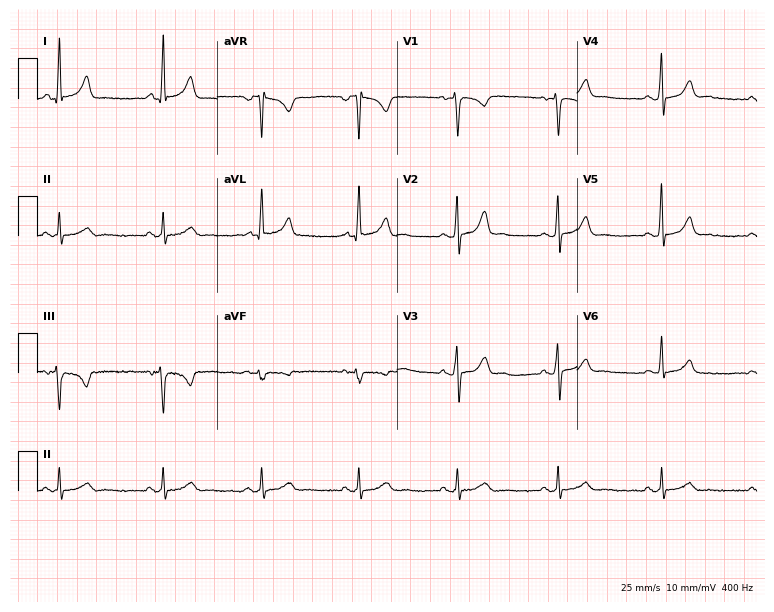
Electrocardiogram, a 46-year-old male. Overall reading on record: normal ECG.